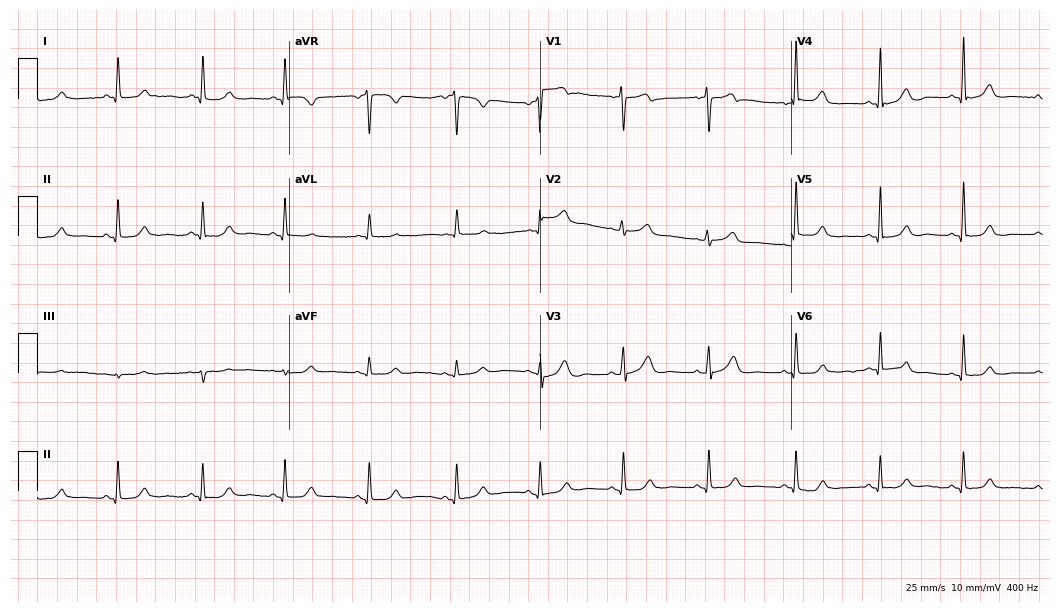
Resting 12-lead electrocardiogram (10.2-second recording at 400 Hz). Patient: a female, 59 years old. Read as a normal ECG.